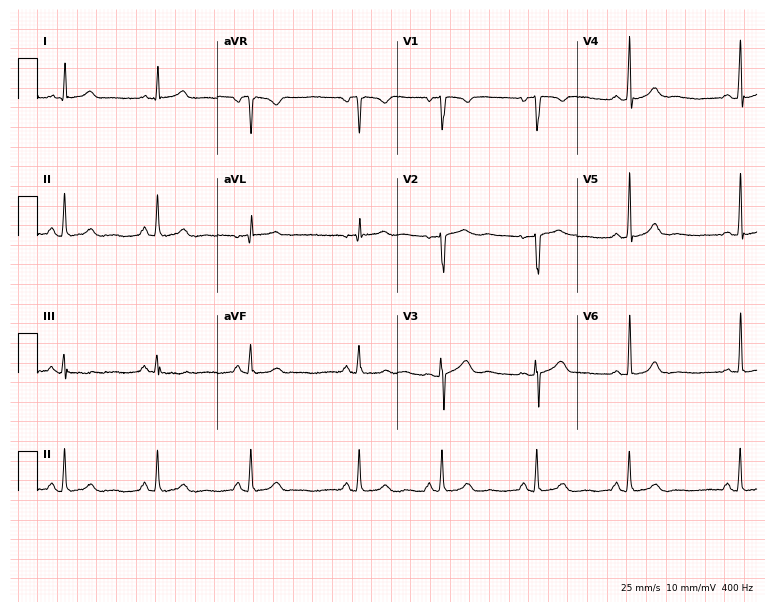
Resting 12-lead electrocardiogram. Patient: a woman, 17 years old. Read as a normal ECG.